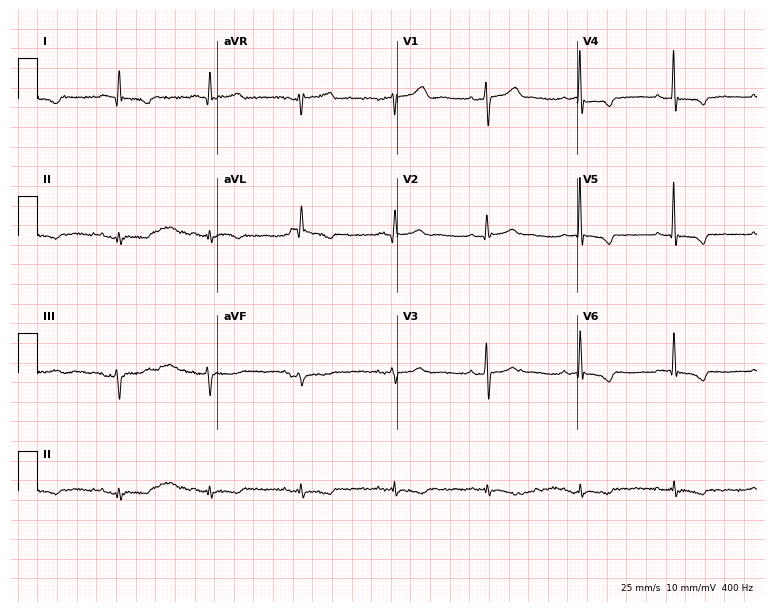
12-lead ECG from an 80-year-old male patient (7.3-second recording at 400 Hz). No first-degree AV block, right bundle branch block (RBBB), left bundle branch block (LBBB), sinus bradycardia, atrial fibrillation (AF) or sinus tachycardia recorded for this tracing.